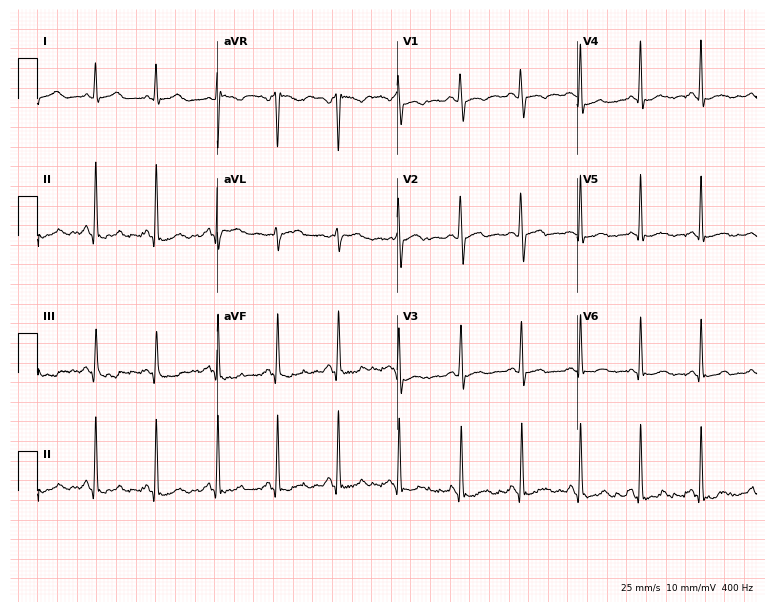
ECG (7.3-second recording at 400 Hz) — a female, 32 years old. Screened for six findings — first-degree AV block, right bundle branch block, left bundle branch block, sinus bradycardia, atrial fibrillation, sinus tachycardia — none is recorded. Only these six findings were labelled.